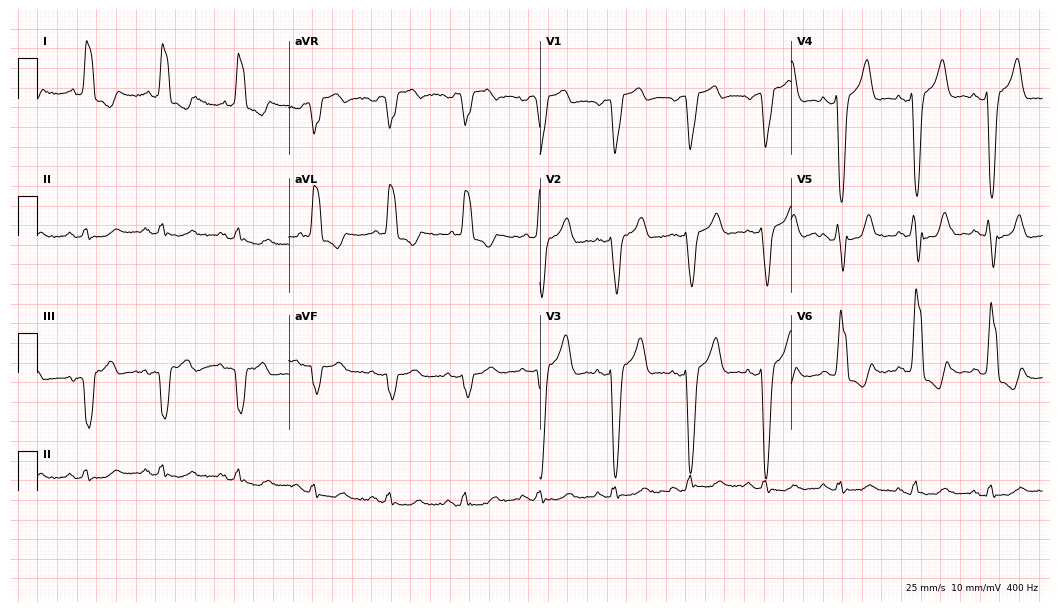
Resting 12-lead electrocardiogram (10.2-second recording at 400 Hz). Patient: a 77-year-old male. The tracing shows left bundle branch block.